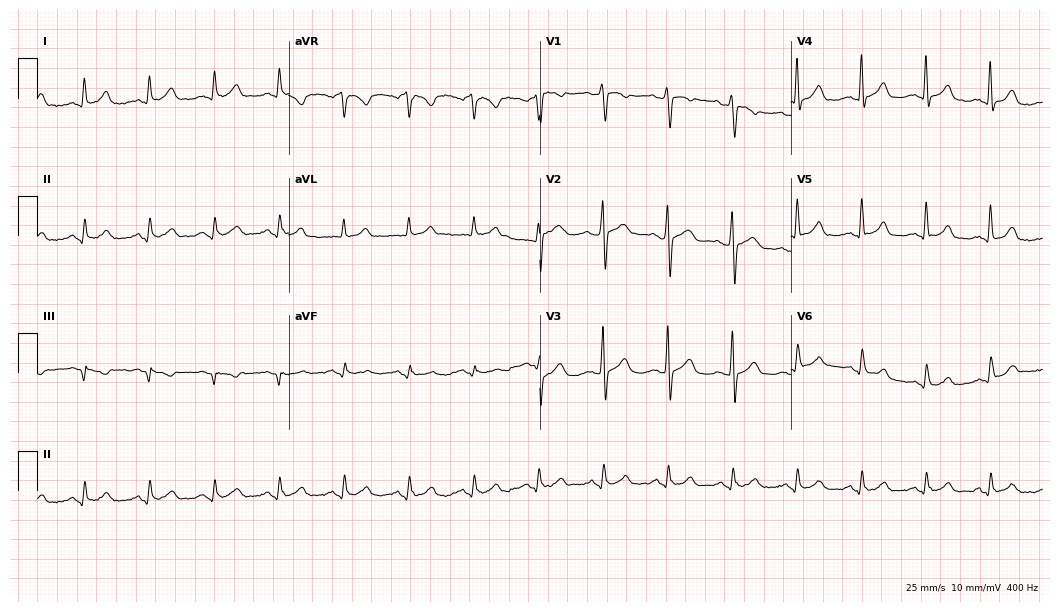
Standard 12-lead ECG recorded from a 59-year-old man. Read as a normal ECG.